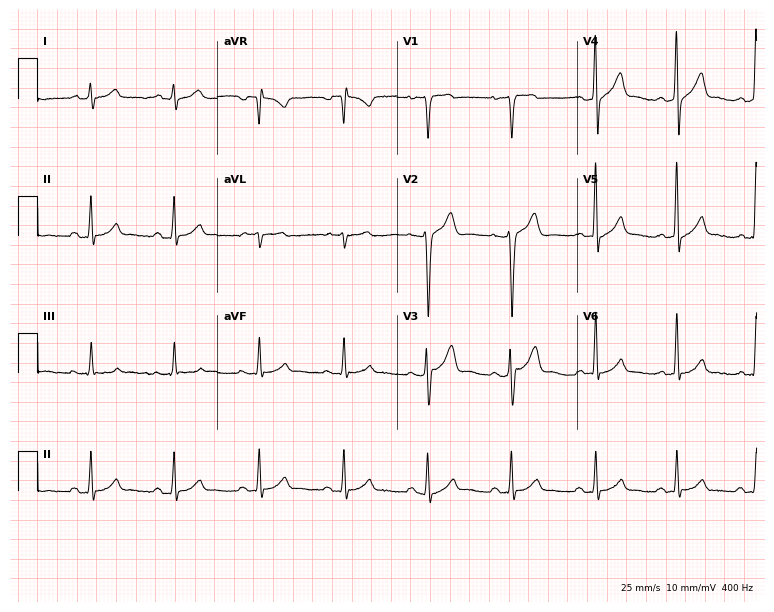
12-lead ECG from a male patient, 43 years old (7.3-second recording at 400 Hz). No first-degree AV block, right bundle branch block, left bundle branch block, sinus bradycardia, atrial fibrillation or sinus tachycardia recorded for this tracing. Other findings, if any, are not listed.